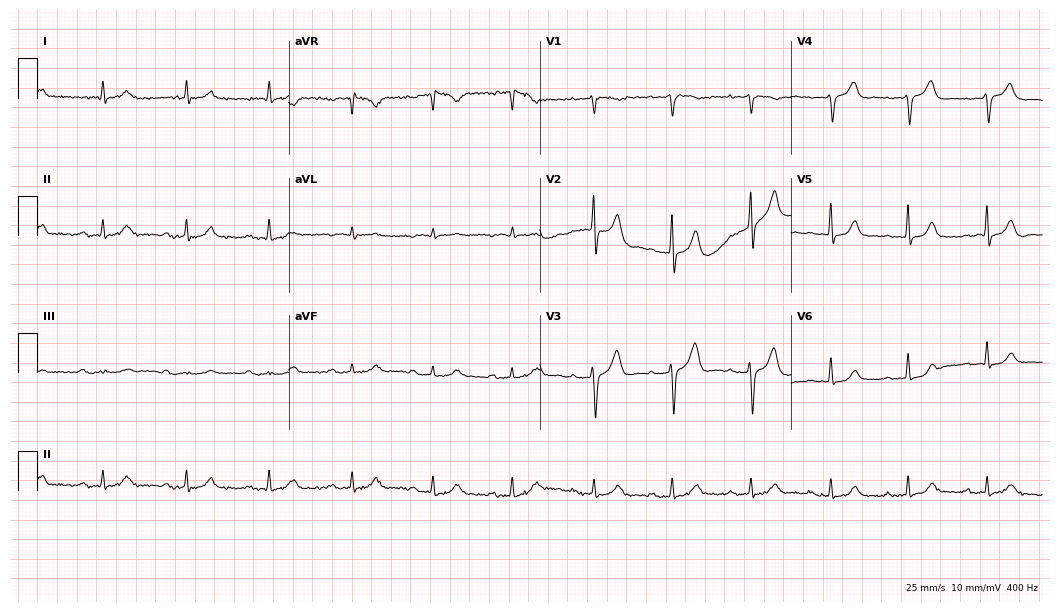
Standard 12-lead ECG recorded from a male, 73 years old (10.2-second recording at 400 Hz). Read as a normal ECG.